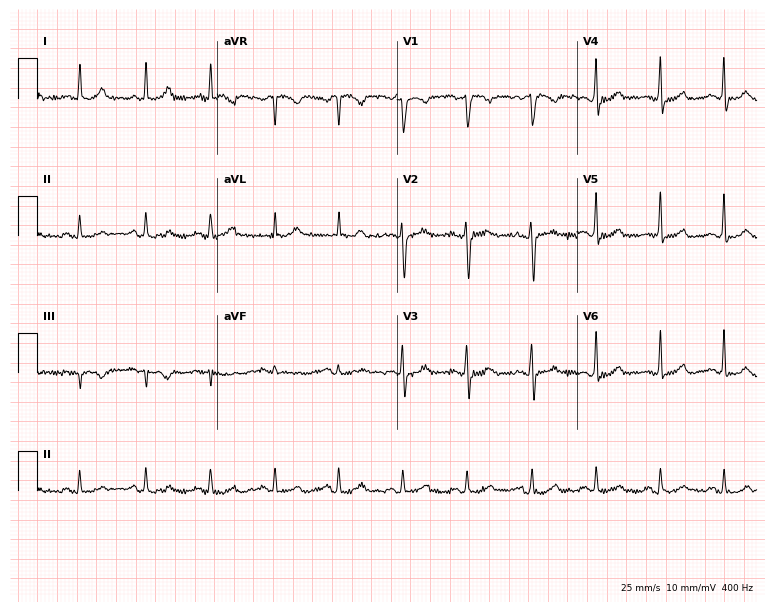
Resting 12-lead electrocardiogram (7.3-second recording at 400 Hz). Patient: a female, 59 years old. Read as a normal ECG.